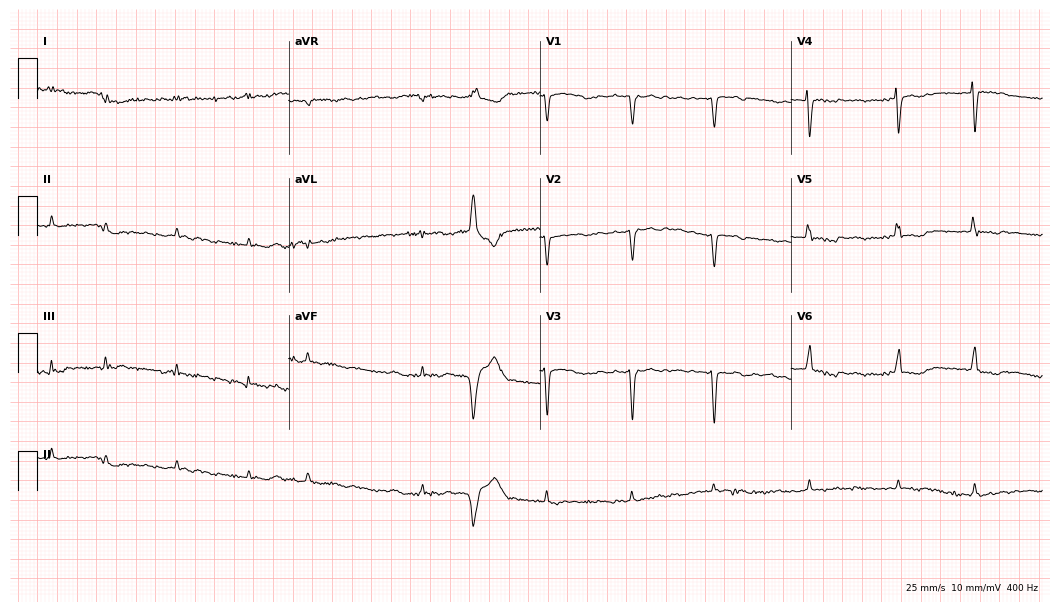
12-lead ECG from a female patient, 73 years old. Shows atrial fibrillation (AF).